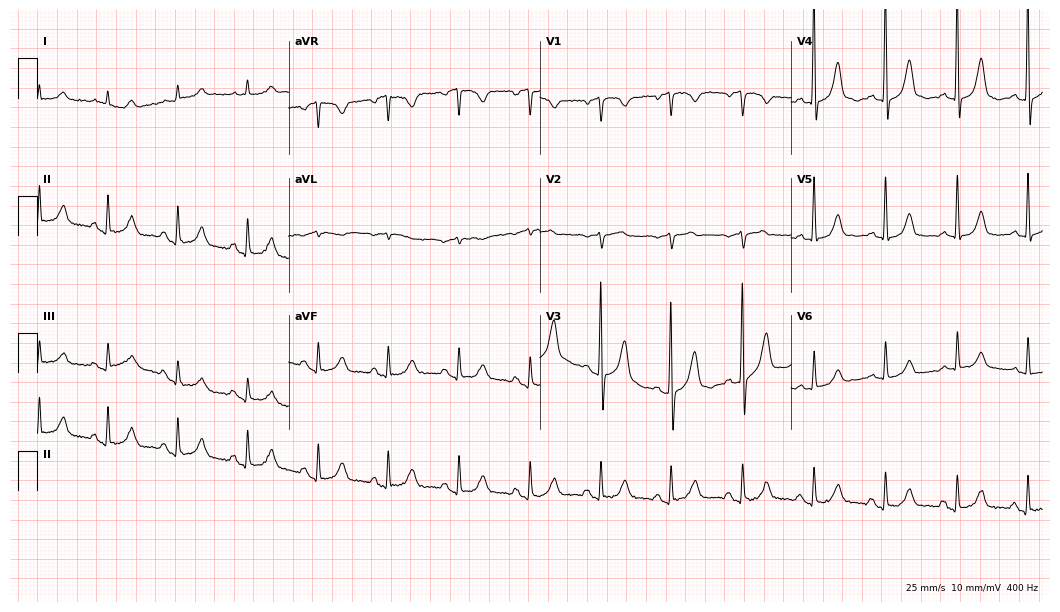
Standard 12-lead ECG recorded from an 84-year-old female patient. Read as a normal ECG.